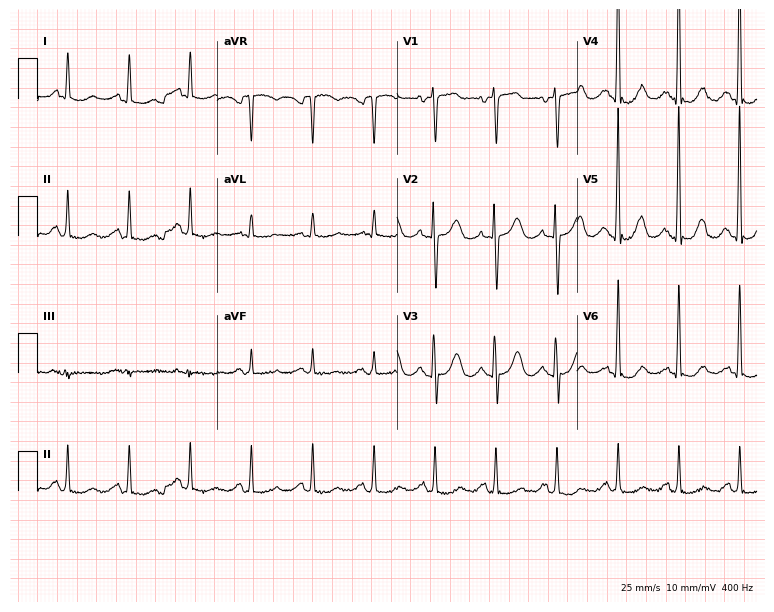
12-lead ECG (7.3-second recording at 400 Hz) from a 52-year-old man. Labelled as a normal ECG.